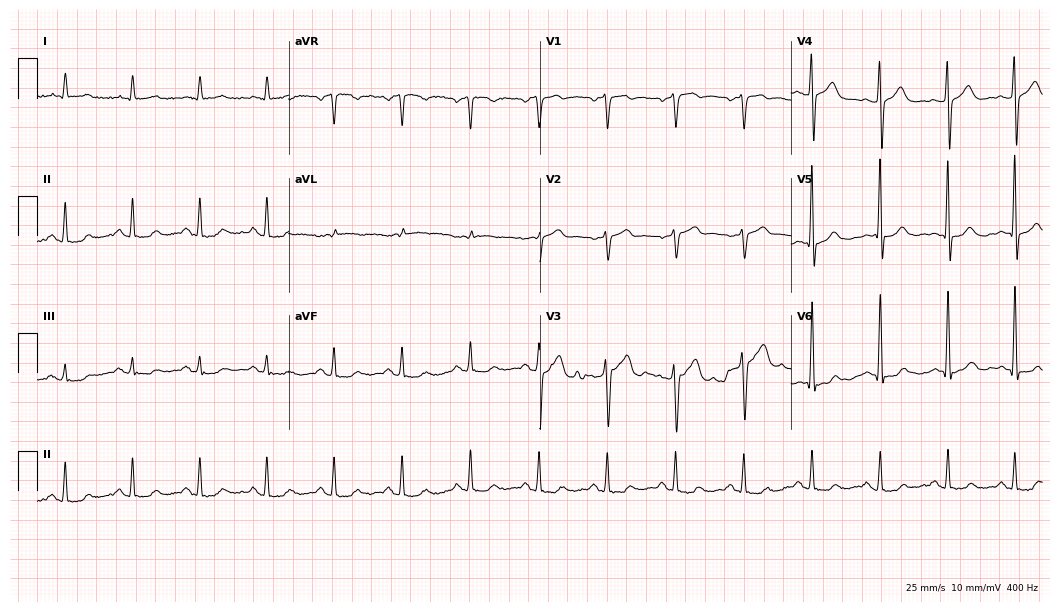
Standard 12-lead ECG recorded from a male patient, 67 years old (10.2-second recording at 400 Hz). Read as a normal ECG.